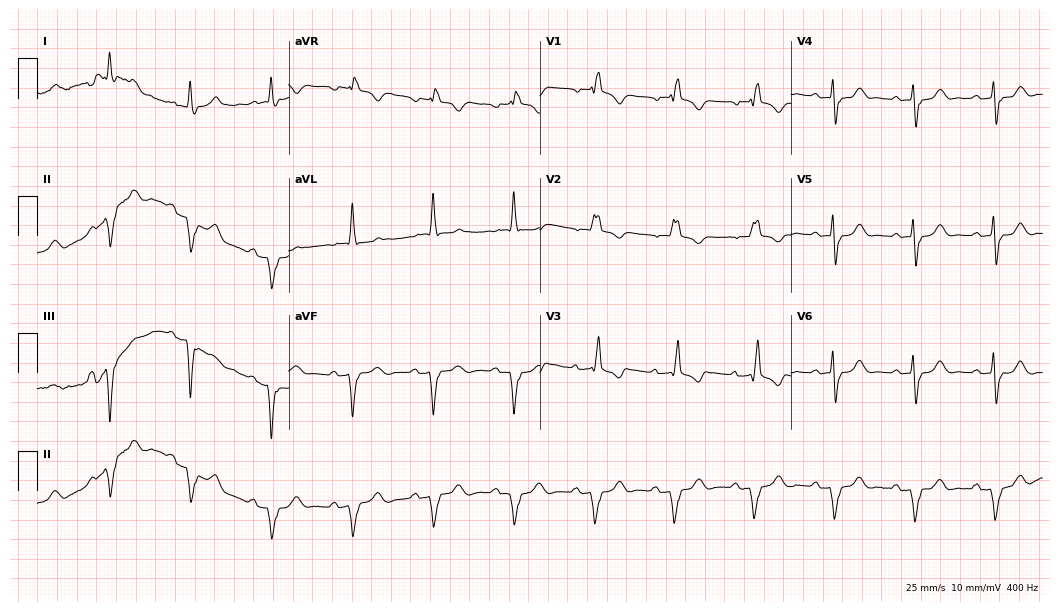
Standard 12-lead ECG recorded from a male patient, 79 years old (10.2-second recording at 400 Hz). The tracing shows right bundle branch block.